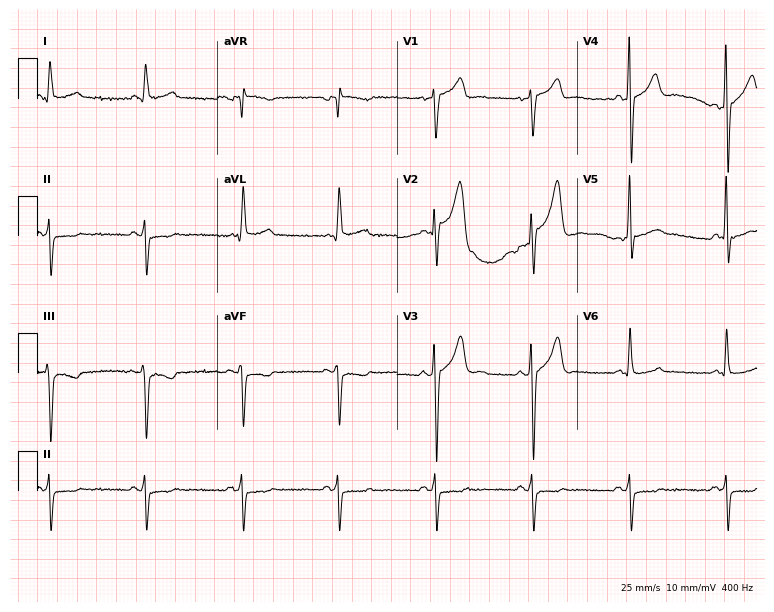
Electrocardiogram, a 57-year-old male patient. Of the six screened findings (first-degree AV block, right bundle branch block, left bundle branch block, sinus bradycardia, atrial fibrillation, sinus tachycardia), none is recorded. Findings outside these six are not listed.